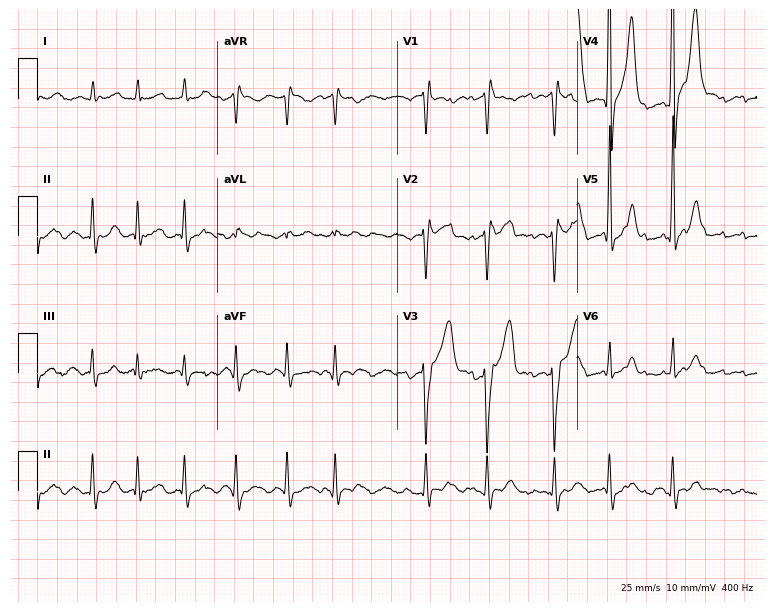
Standard 12-lead ECG recorded from a 77-year-old male. The tracing shows atrial fibrillation (AF).